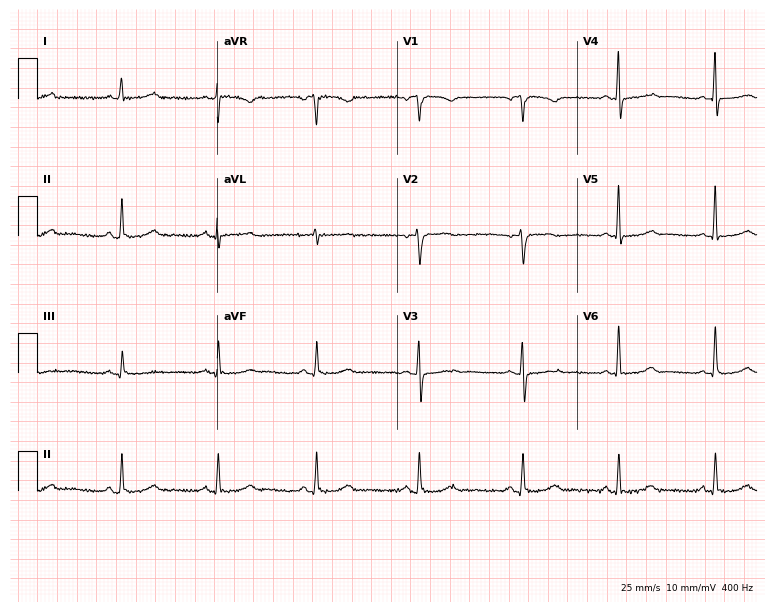
Standard 12-lead ECG recorded from a female patient, 52 years old (7.3-second recording at 400 Hz). None of these six findings is recorded: first-degree AV block, right bundle branch block (RBBB), left bundle branch block (LBBB), sinus bradycardia, atrial fibrillation (AF), sinus tachycardia.